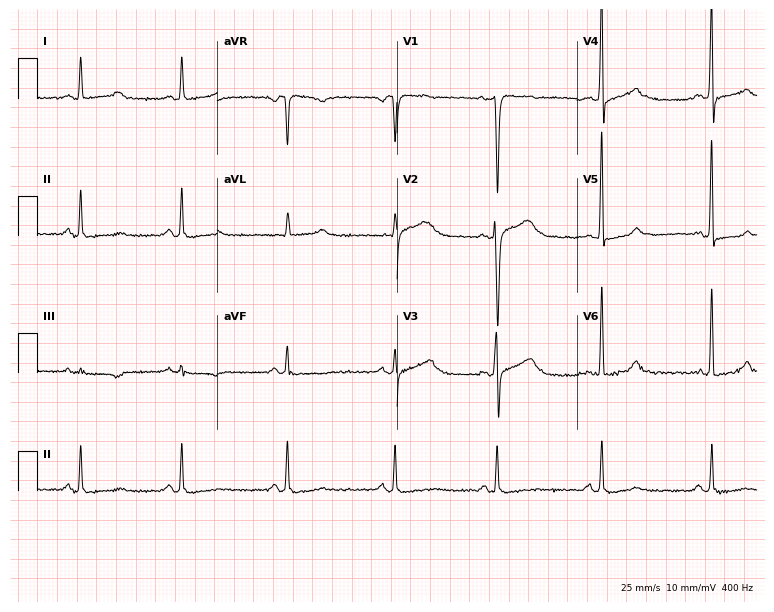
12-lead ECG (7.3-second recording at 400 Hz) from a 54-year-old male patient. Labelled as a normal ECG.